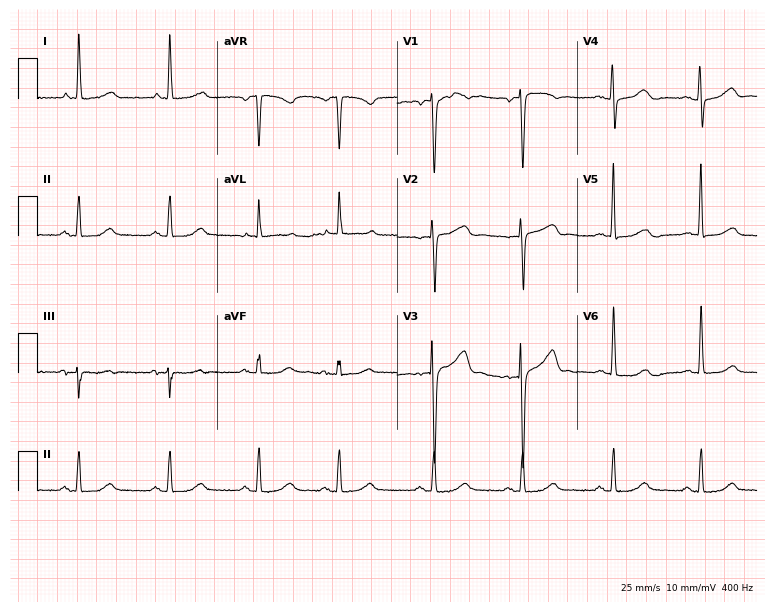
Resting 12-lead electrocardiogram. Patient: a woman, 70 years old. None of these six findings is recorded: first-degree AV block, right bundle branch block, left bundle branch block, sinus bradycardia, atrial fibrillation, sinus tachycardia.